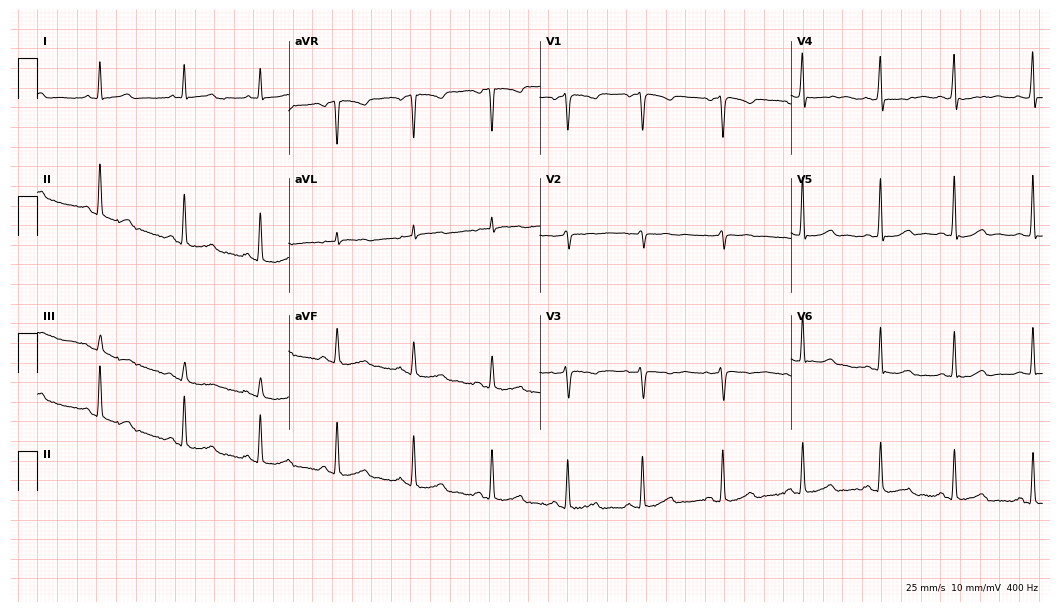
Standard 12-lead ECG recorded from a 46-year-old female. None of these six findings is recorded: first-degree AV block, right bundle branch block, left bundle branch block, sinus bradycardia, atrial fibrillation, sinus tachycardia.